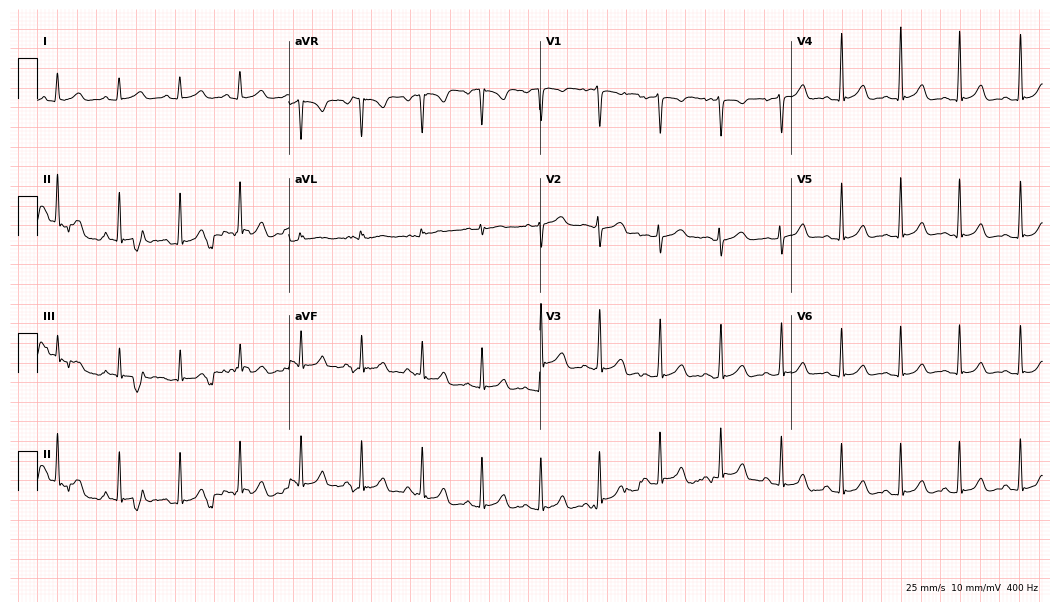
Resting 12-lead electrocardiogram (10.2-second recording at 400 Hz). Patient: a 23-year-old female. Read as a normal ECG.